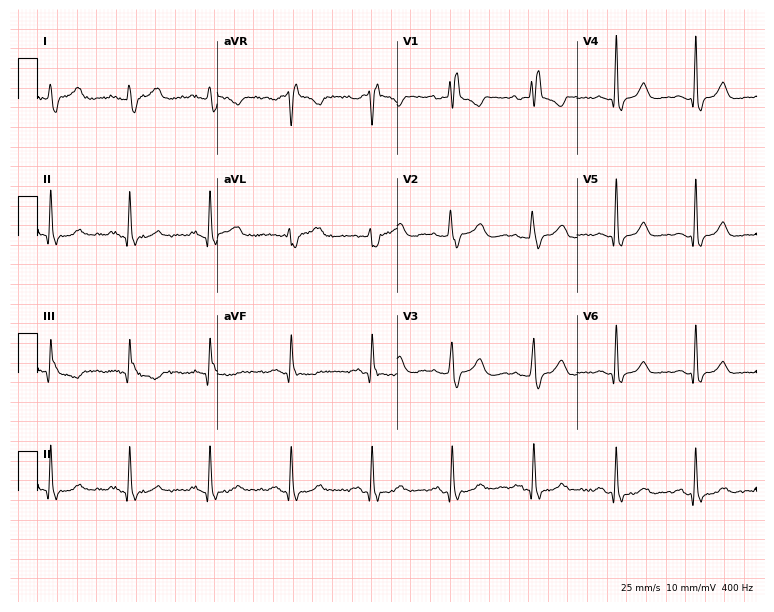
ECG (7.3-second recording at 400 Hz) — a 58-year-old woman. Findings include right bundle branch block (RBBB).